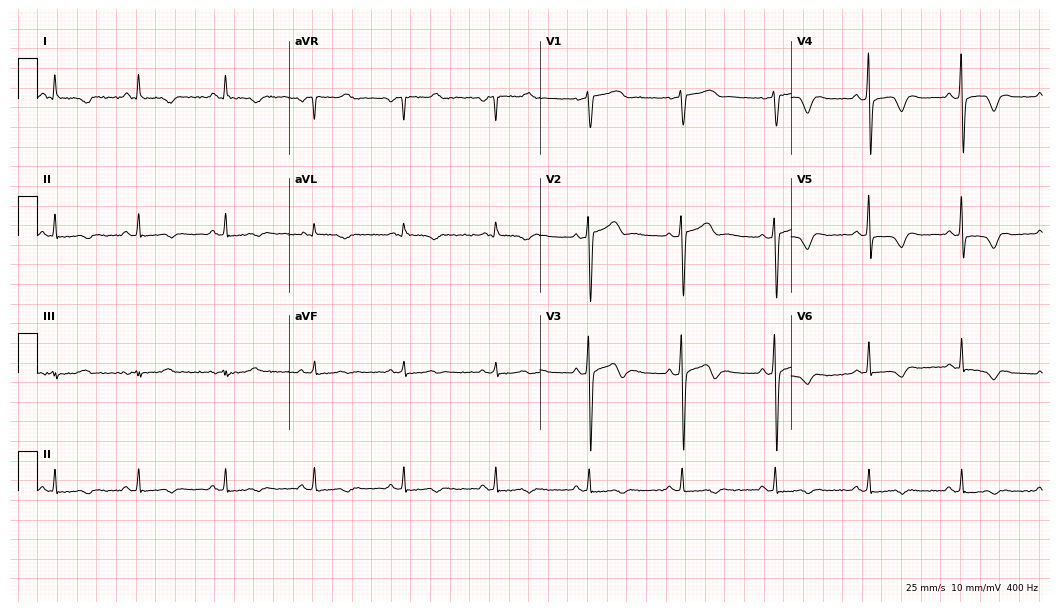
ECG (10.2-second recording at 400 Hz) — a male, 49 years old. Screened for six findings — first-degree AV block, right bundle branch block (RBBB), left bundle branch block (LBBB), sinus bradycardia, atrial fibrillation (AF), sinus tachycardia — none is recorded. Findings outside these six are not listed.